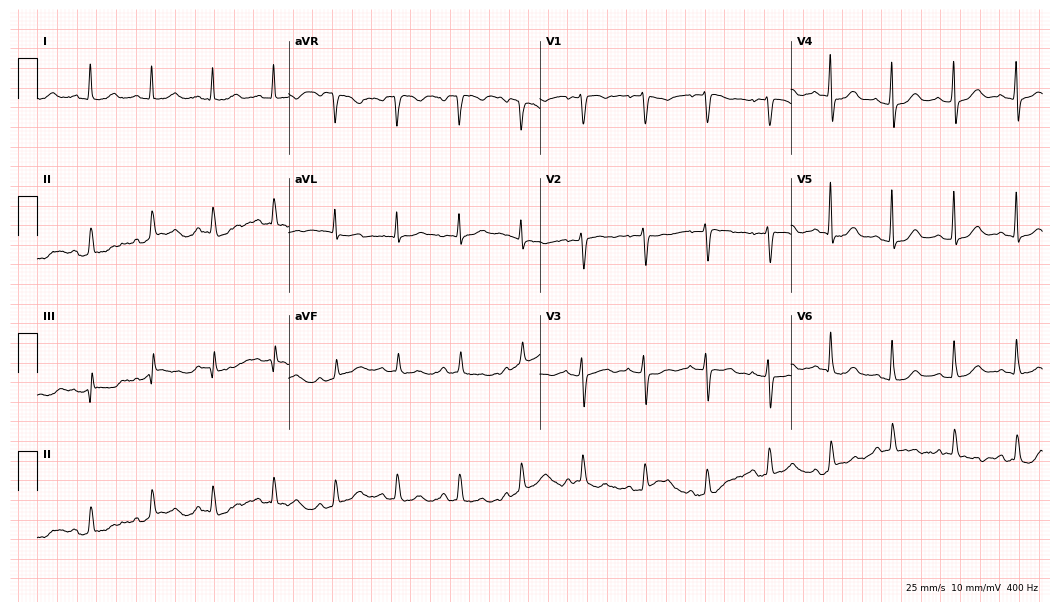
Electrocardiogram (10.2-second recording at 400 Hz), an 83-year-old female patient. Of the six screened findings (first-degree AV block, right bundle branch block (RBBB), left bundle branch block (LBBB), sinus bradycardia, atrial fibrillation (AF), sinus tachycardia), none is recorded.